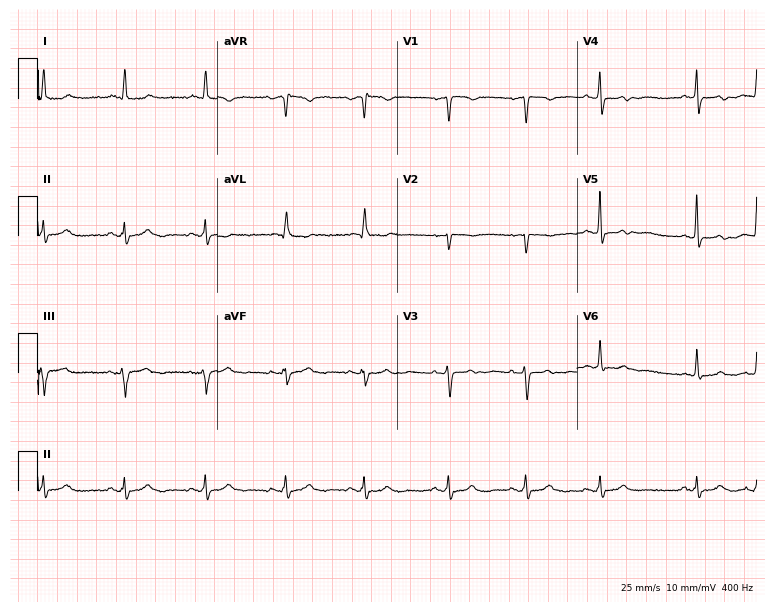
12-lead ECG (7.3-second recording at 400 Hz) from a 78-year-old female patient. Screened for six findings — first-degree AV block, right bundle branch block, left bundle branch block, sinus bradycardia, atrial fibrillation, sinus tachycardia — none is recorded. Findings outside these six are not listed.